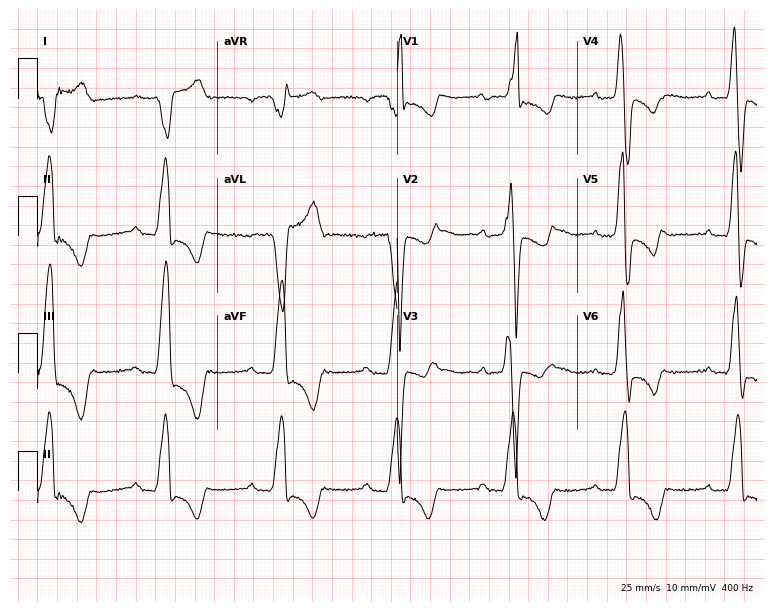
12-lead ECG (7.3-second recording at 400 Hz) from a male, 69 years old. Findings include first-degree AV block, right bundle branch block.